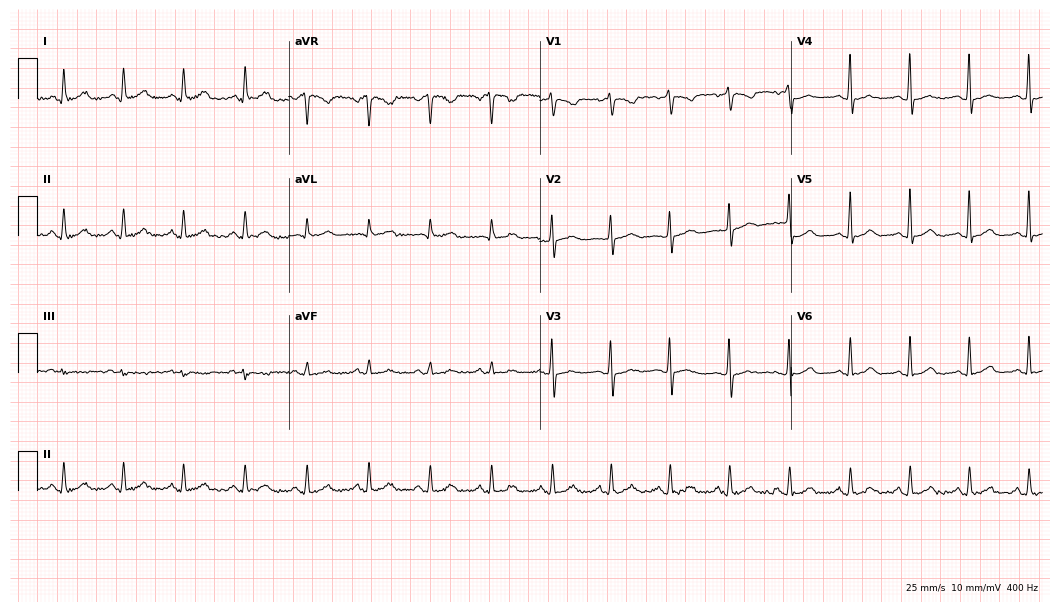
Resting 12-lead electrocardiogram. Patient: a 38-year-old female. Read as a normal ECG.